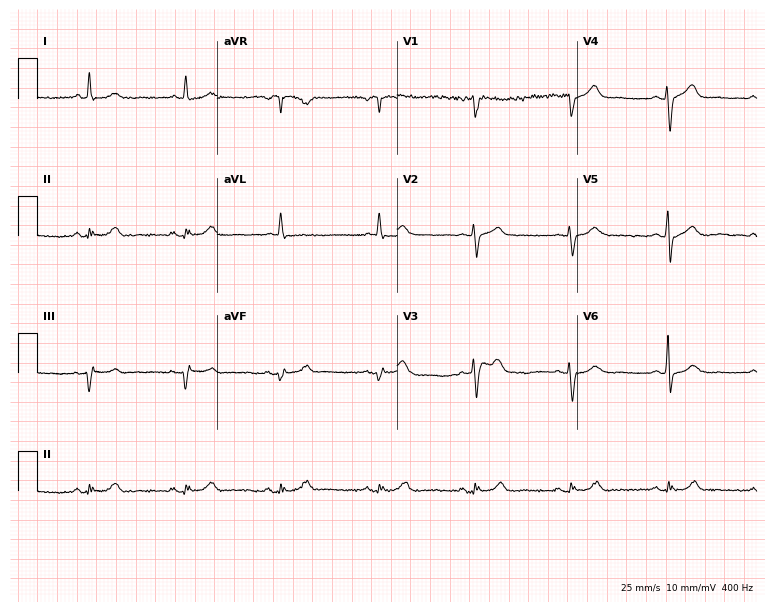
Resting 12-lead electrocardiogram (7.3-second recording at 400 Hz). Patient: a 73-year-old man. None of these six findings is recorded: first-degree AV block, right bundle branch block, left bundle branch block, sinus bradycardia, atrial fibrillation, sinus tachycardia. Findings outside these six are not listed.